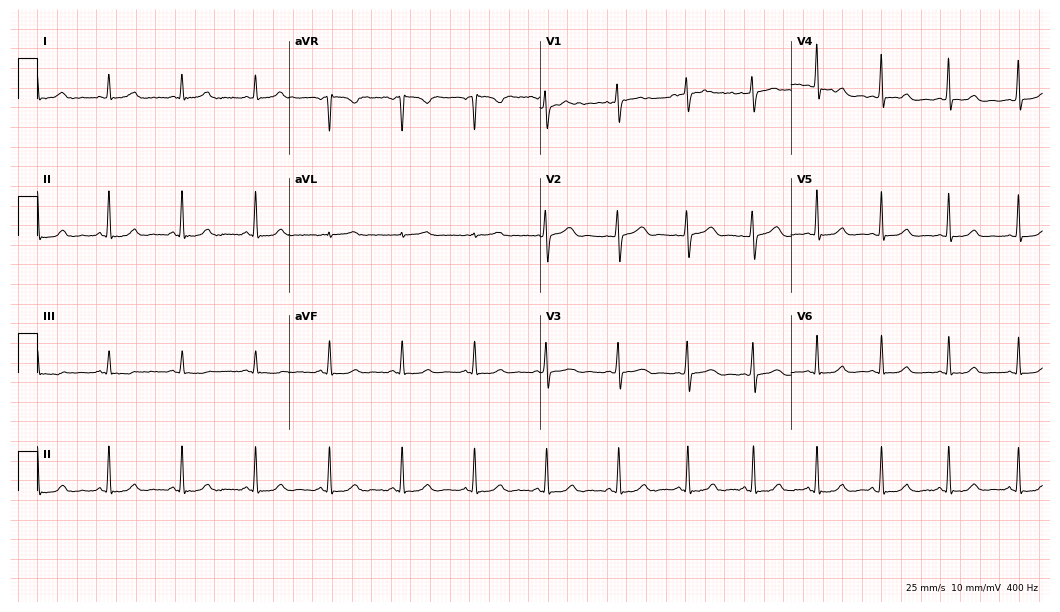
12-lead ECG from a 46-year-old woman (10.2-second recording at 400 Hz). No first-degree AV block, right bundle branch block, left bundle branch block, sinus bradycardia, atrial fibrillation or sinus tachycardia recorded for this tracing.